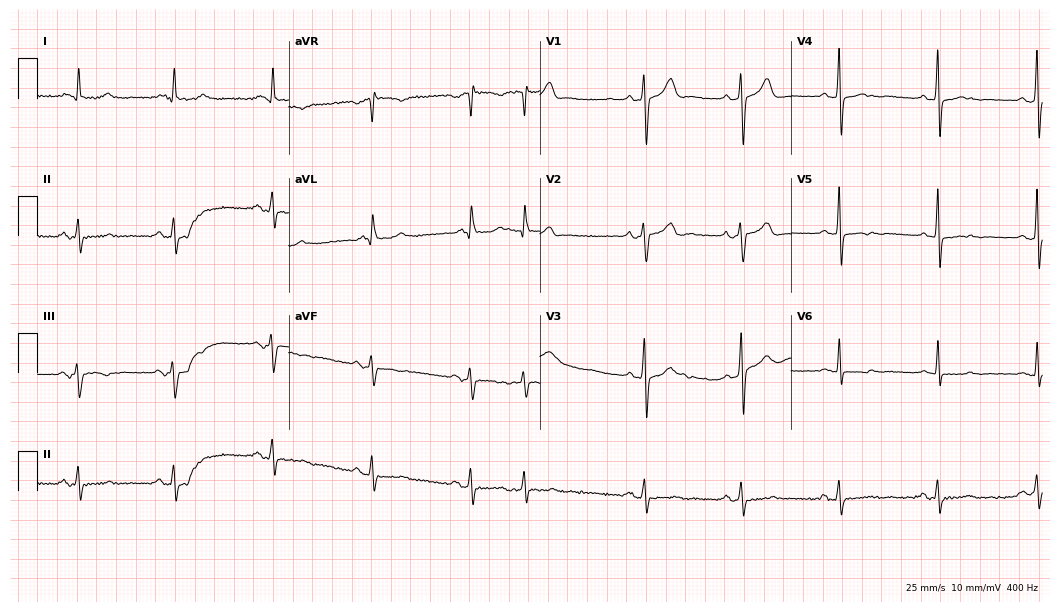
12-lead ECG from a 53-year-old male patient. Screened for six findings — first-degree AV block, right bundle branch block, left bundle branch block, sinus bradycardia, atrial fibrillation, sinus tachycardia — none is recorded.